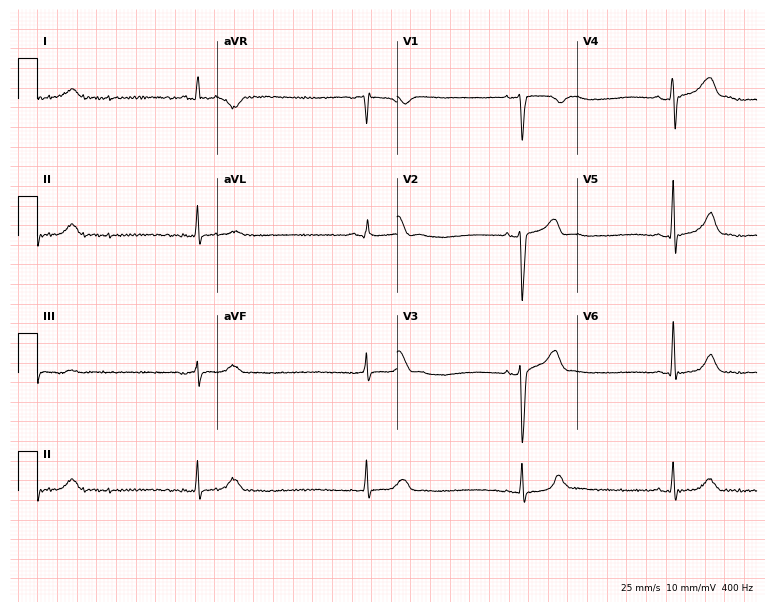
ECG (7.3-second recording at 400 Hz) — a male patient, 43 years old. Findings include sinus bradycardia (a sinus rate of 50 beats per minute or less).